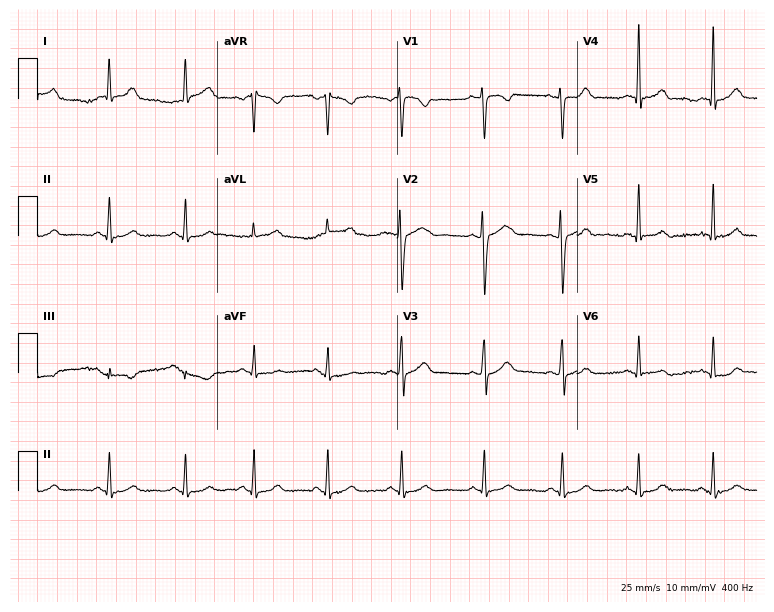
12-lead ECG from a female, 27 years old (7.3-second recording at 400 Hz). No first-degree AV block, right bundle branch block, left bundle branch block, sinus bradycardia, atrial fibrillation or sinus tachycardia recorded for this tracing.